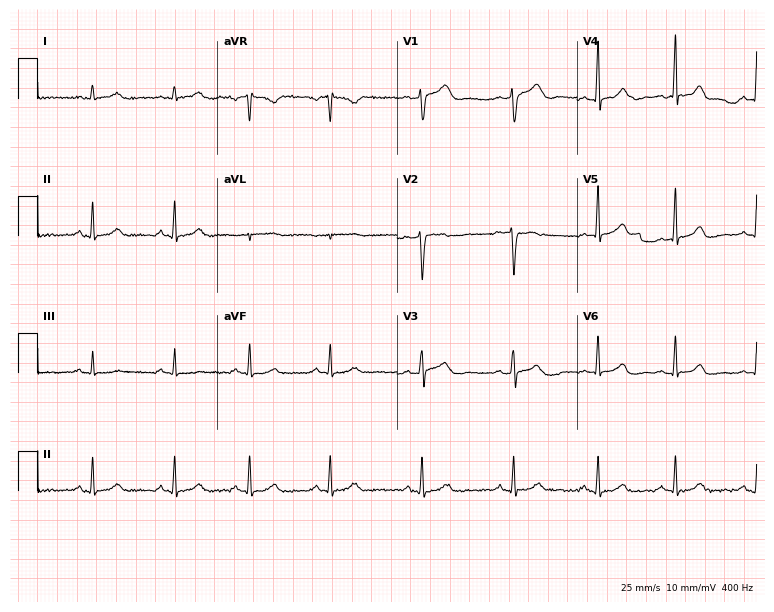
12-lead ECG from a female, 27 years old. Screened for six findings — first-degree AV block, right bundle branch block, left bundle branch block, sinus bradycardia, atrial fibrillation, sinus tachycardia — none is recorded. Other findings, if any, are not listed.